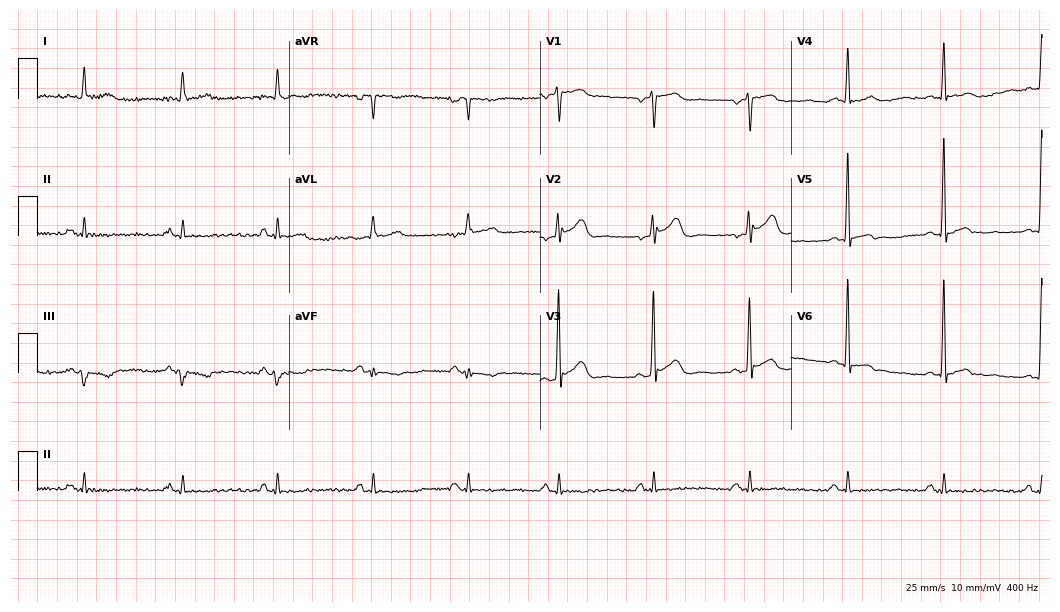
Standard 12-lead ECG recorded from a 64-year-old male. None of these six findings is recorded: first-degree AV block, right bundle branch block (RBBB), left bundle branch block (LBBB), sinus bradycardia, atrial fibrillation (AF), sinus tachycardia.